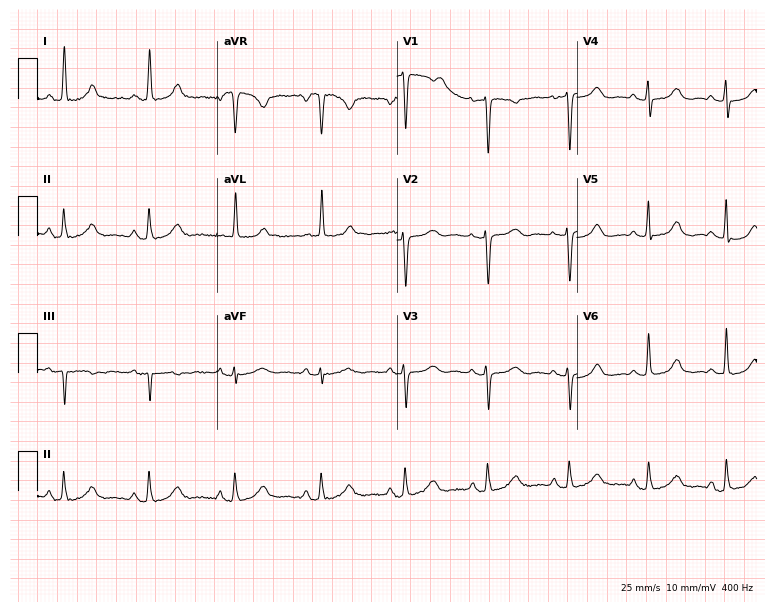
Resting 12-lead electrocardiogram (7.3-second recording at 400 Hz). Patient: a 77-year-old female. None of these six findings is recorded: first-degree AV block, right bundle branch block, left bundle branch block, sinus bradycardia, atrial fibrillation, sinus tachycardia.